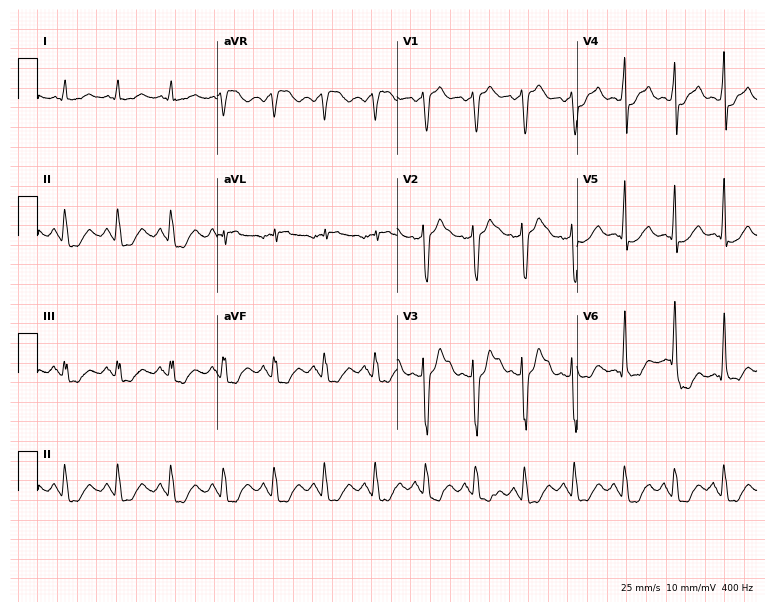
Electrocardiogram, a male, 46 years old. Interpretation includes sinus tachycardia (a sinus rate of 100 beats per minute or more).